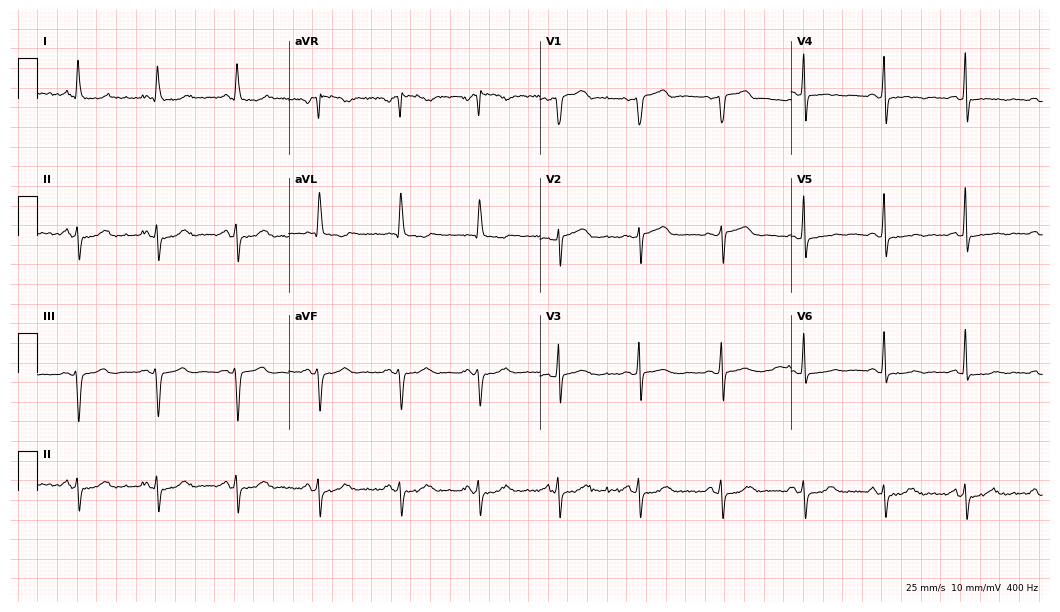
Resting 12-lead electrocardiogram (10.2-second recording at 400 Hz). Patient: a 77-year-old male. None of these six findings is recorded: first-degree AV block, right bundle branch block, left bundle branch block, sinus bradycardia, atrial fibrillation, sinus tachycardia. Findings outside these six are not listed.